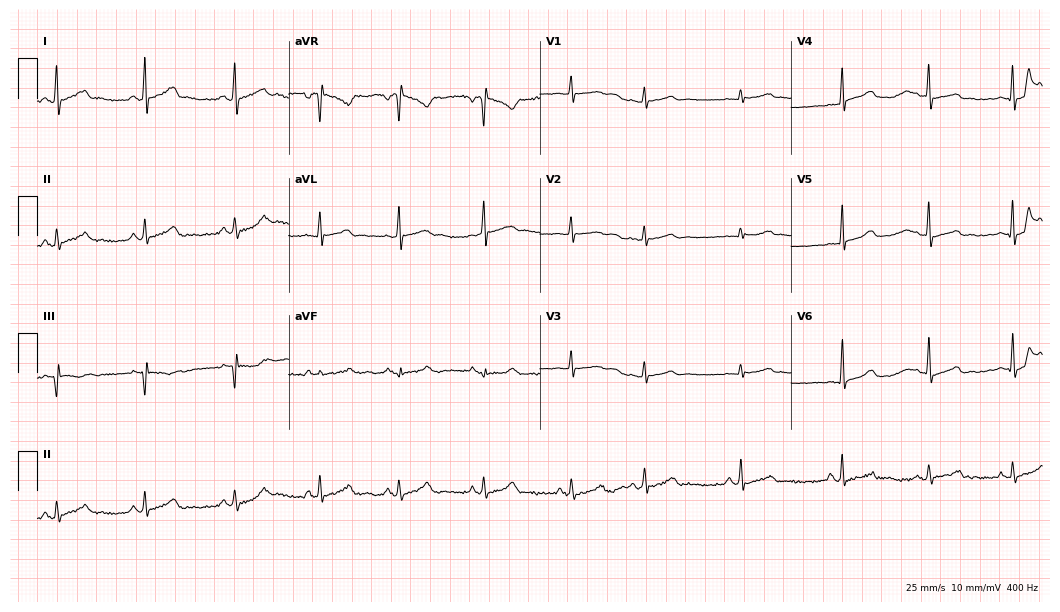
12-lead ECG (10.2-second recording at 400 Hz) from a 26-year-old male. Labelled as a normal ECG.